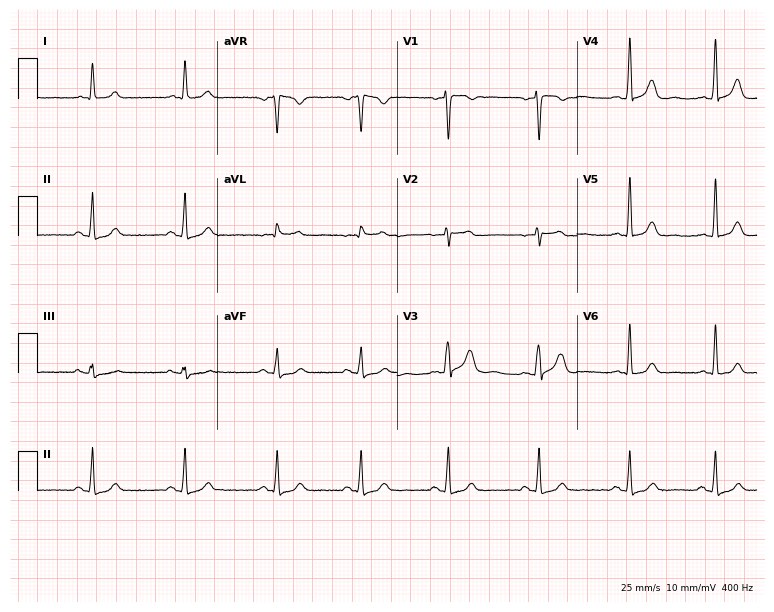
12-lead ECG from a 44-year-old woman (7.3-second recording at 400 Hz). Recorded interpretation: within normal limits.